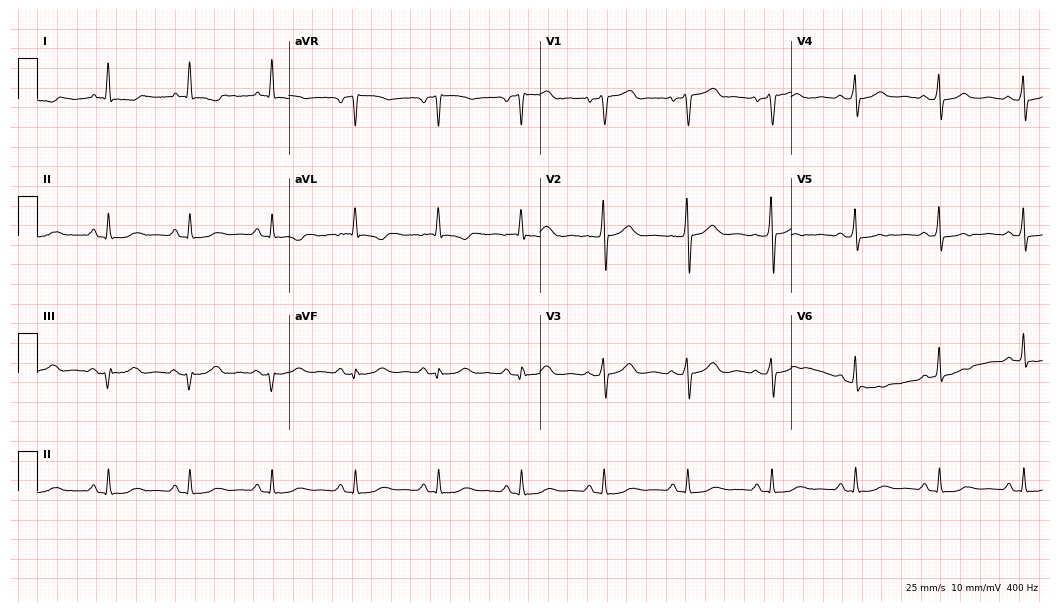
Standard 12-lead ECG recorded from a 68-year-old woman (10.2-second recording at 400 Hz). None of these six findings is recorded: first-degree AV block, right bundle branch block (RBBB), left bundle branch block (LBBB), sinus bradycardia, atrial fibrillation (AF), sinus tachycardia. Other findings, if any, are not listed.